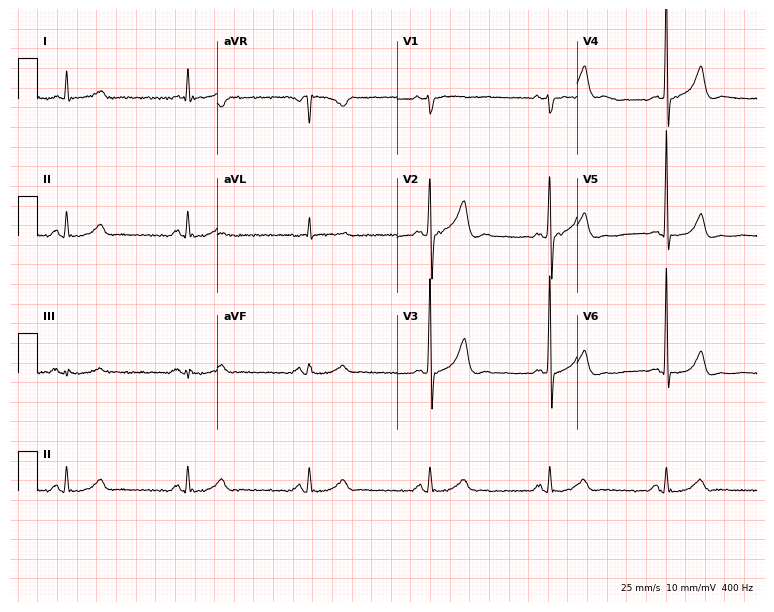
ECG (7.3-second recording at 400 Hz) — a 70-year-old male patient. Findings include sinus bradycardia (a sinus rate of 50 beats per minute or less).